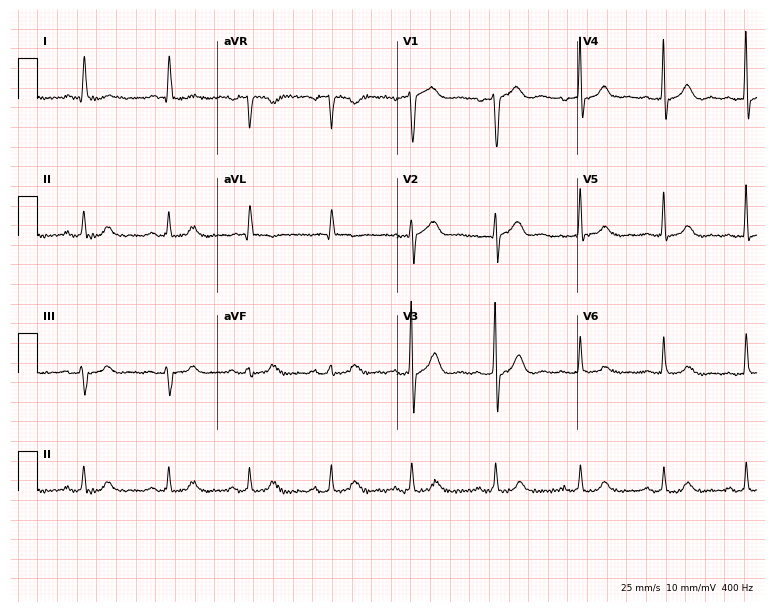
Electrocardiogram, a male patient, 67 years old. Overall reading on record: normal ECG.